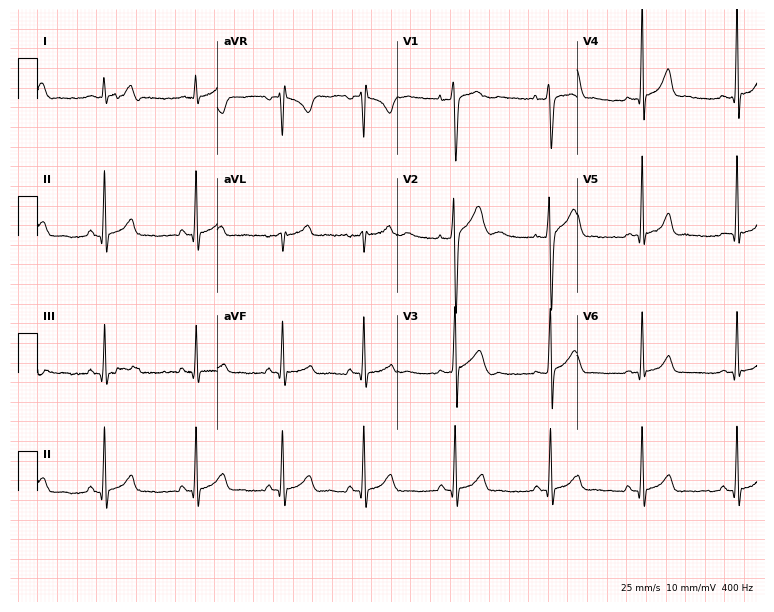
Resting 12-lead electrocardiogram (7.3-second recording at 400 Hz). Patient: an 18-year-old male. Read as a normal ECG.